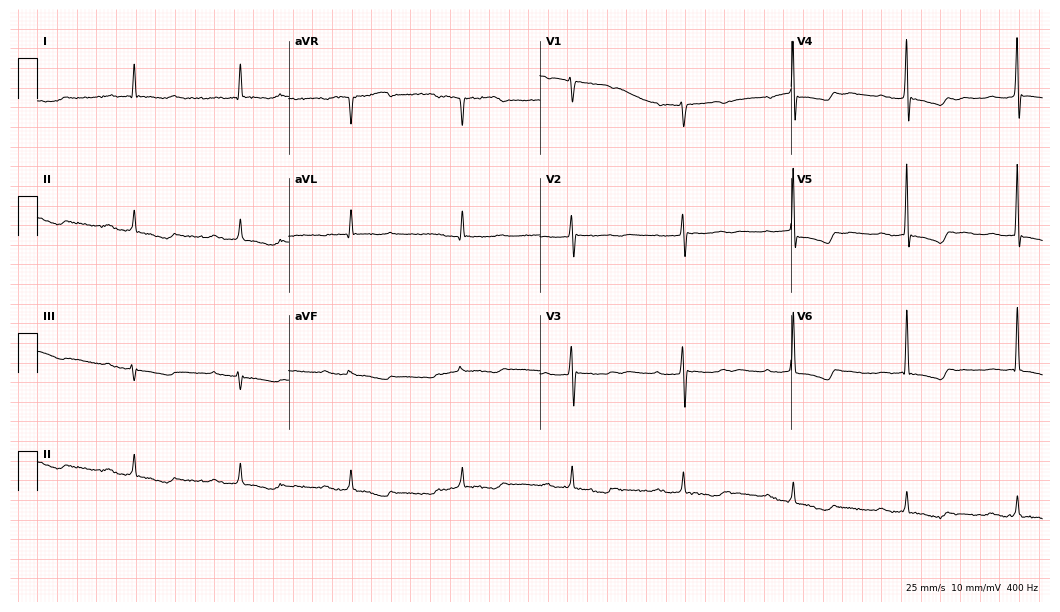
Electrocardiogram, an 84-year-old female. Interpretation includes first-degree AV block.